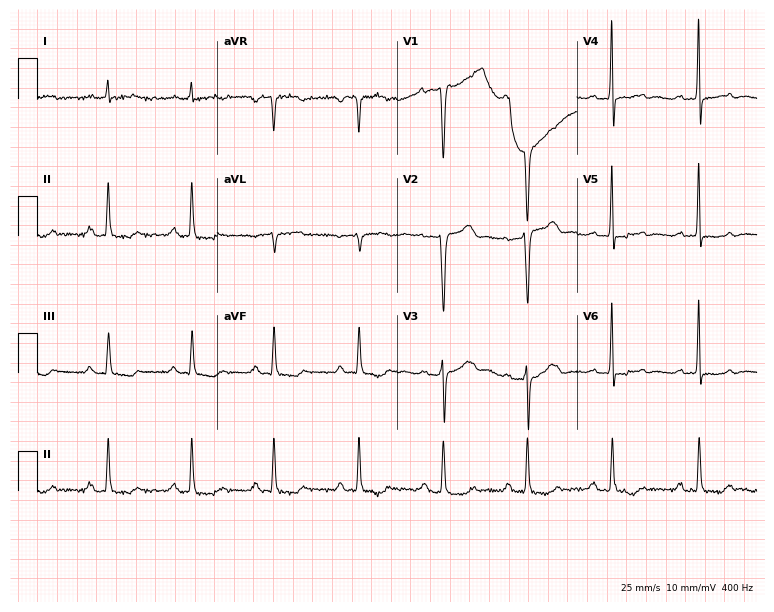
ECG — a 67-year-old woman. Findings include first-degree AV block.